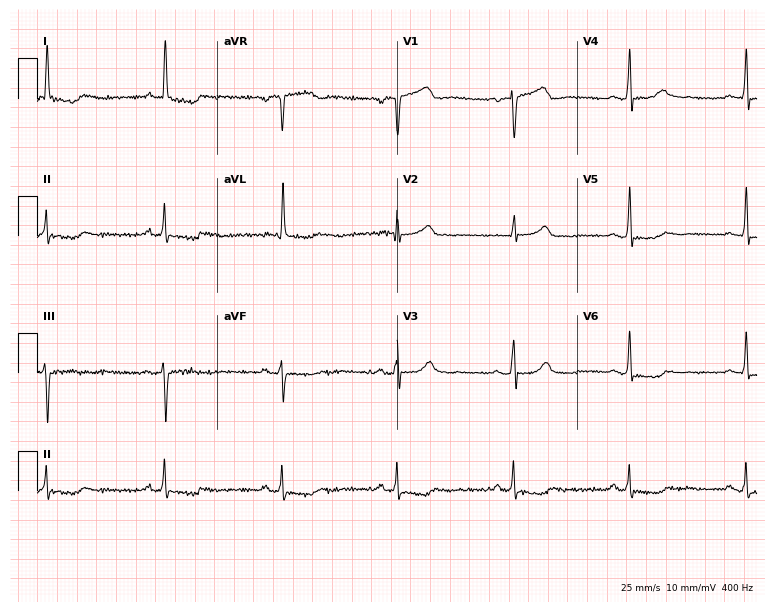
Electrocardiogram (7.3-second recording at 400 Hz), a 60-year-old female patient. Overall reading on record: normal ECG.